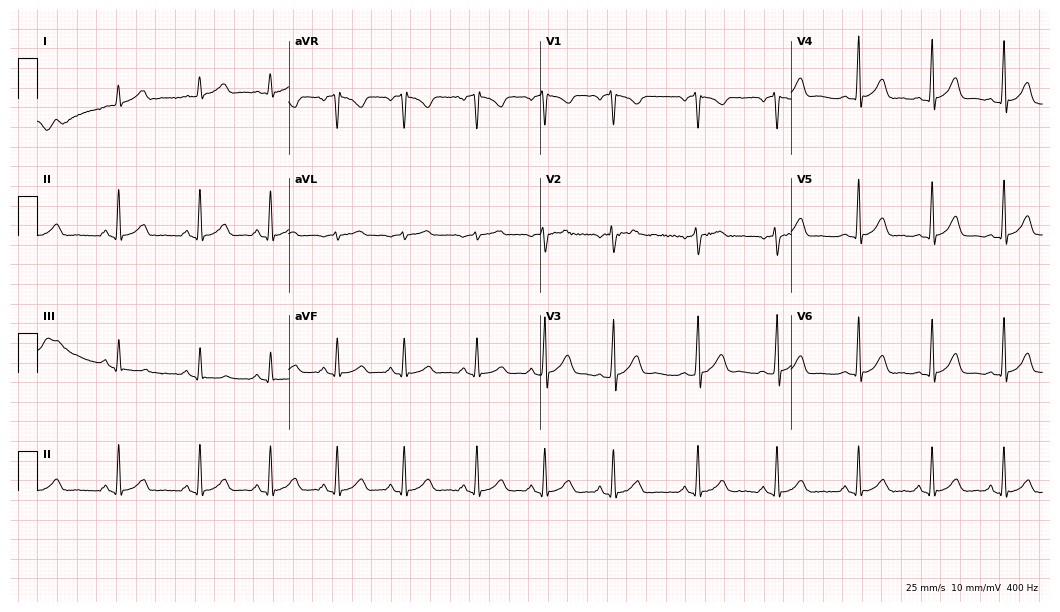
ECG — a woman, 37 years old. Labelled as a normal ECG.